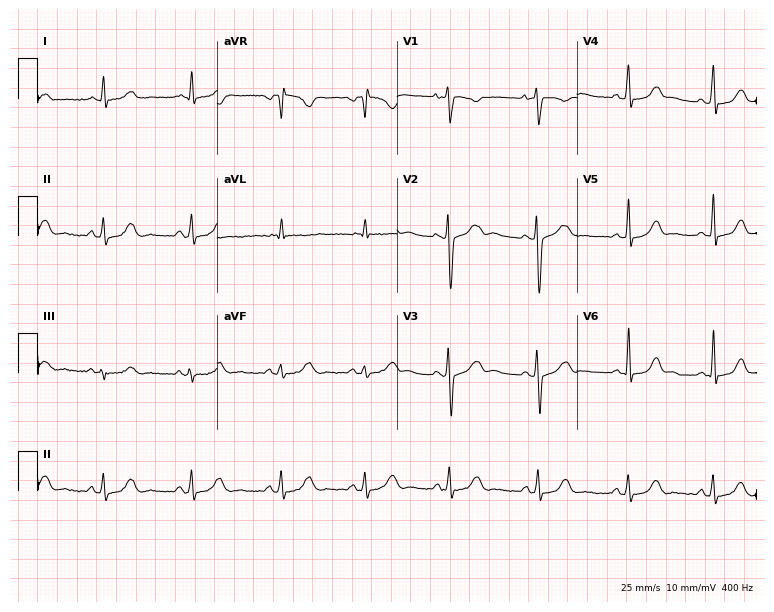
12-lead ECG from a 20-year-old female patient. No first-degree AV block, right bundle branch block, left bundle branch block, sinus bradycardia, atrial fibrillation or sinus tachycardia recorded for this tracing. Only these six findings were labelled.